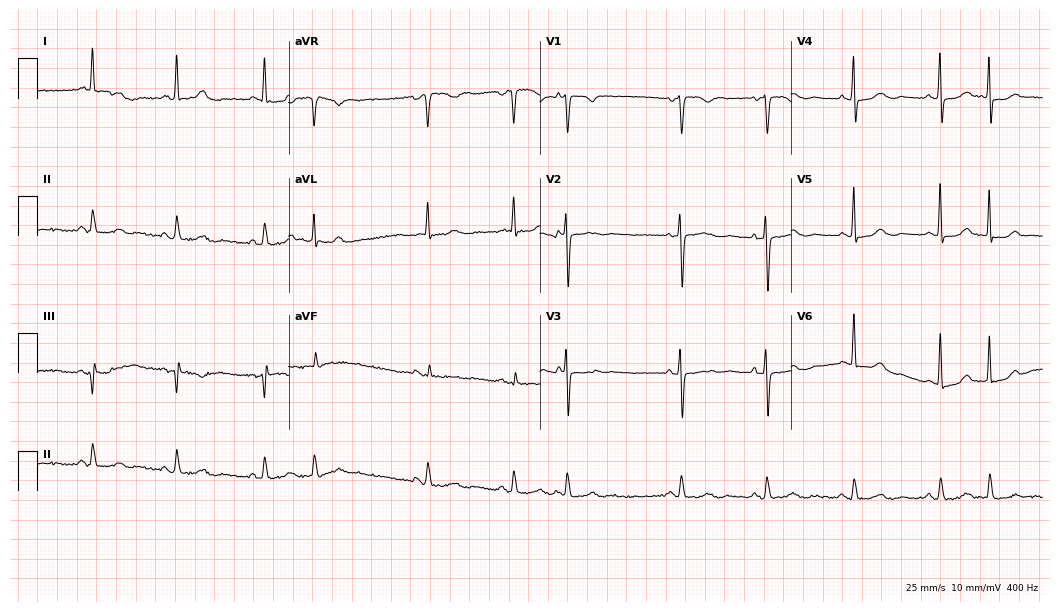
Resting 12-lead electrocardiogram (10.2-second recording at 400 Hz). Patient: a female, 81 years old. None of these six findings is recorded: first-degree AV block, right bundle branch block, left bundle branch block, sinus bradycardia, atrial fibrillation, sinus tachycardia. Findings outside these six are not listed.